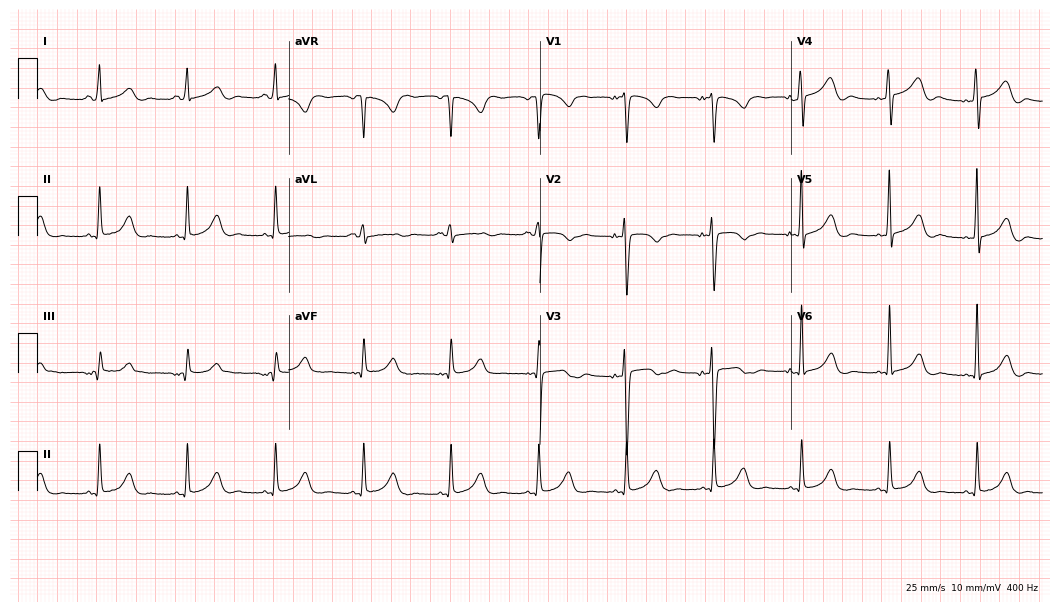
12-lead ECG from a female, 29 years old (10.2-second recording at 400 Hz). Recorded interpretation: within normal limits.